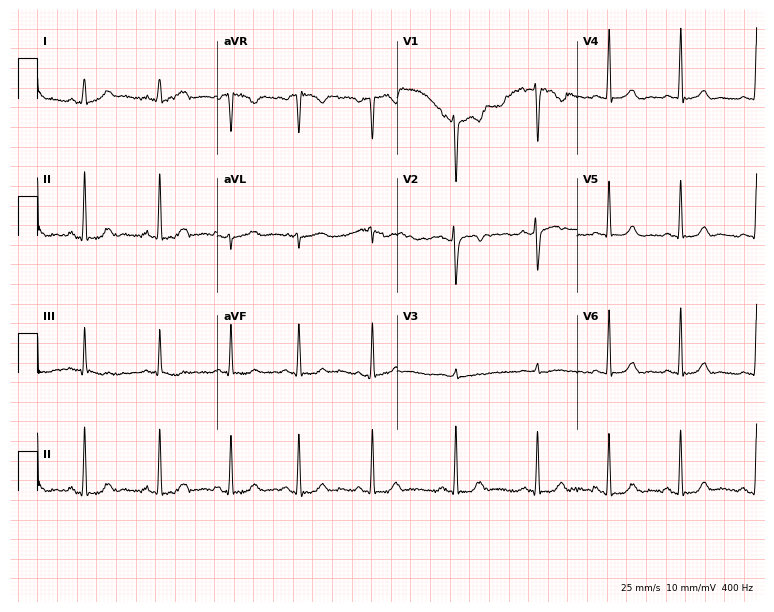
Electrocardiogram (7.3-second recording at 400 Hz), a female patient, 22 years old. Overall reading on record: normal ECG.